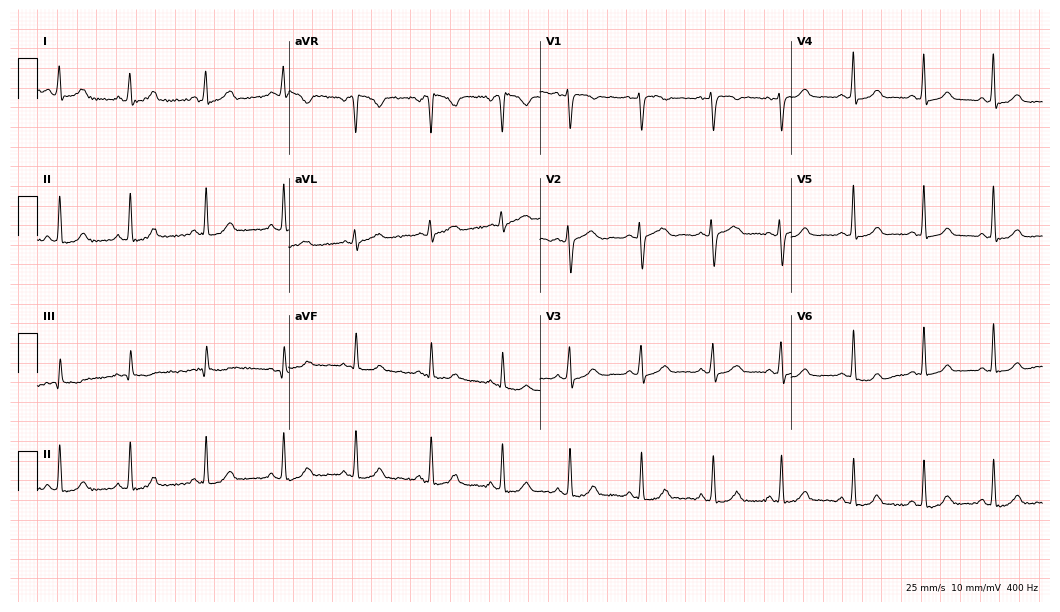
ECG — a 35-year-old female patient. Screened for six findings — first-degree AV block, right bundle branch block (RBBB), left bundle branch block (LBBB), sinus bradycardia, atrial fibrillation (AF), sinus tachycardia — none is recorded.